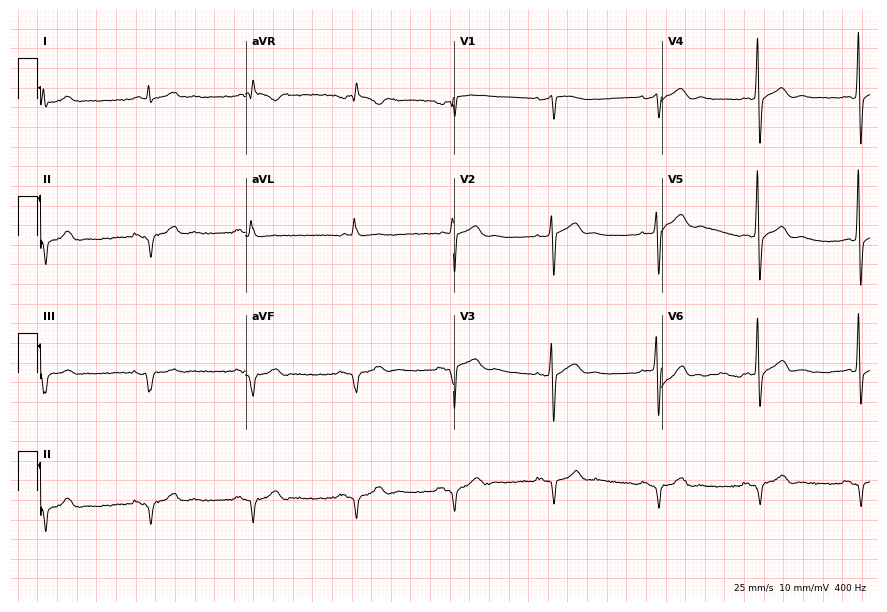
Standard 12-lead ECG recorded from a male, 55 years old. None of these six findings is recorded: first-degree AV block, right bundle branch block (RBBB), left bundle branch block (LBBB), sinus bradycardia, atrial fibrillation (AF), sinus tachycardia.